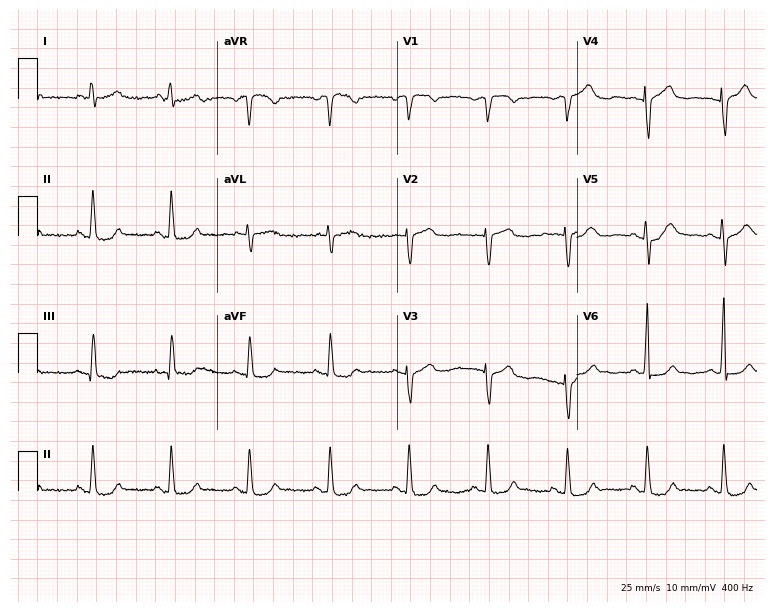
12-lead ECG (7.3-second recording at 400 Hz) from a woman, 59 years old. Screened for six findings — first-degree AV block, right bundle branch block (RBBB), left bundle branch block (LBBB), sinus bradycardia, atrial fibrillation (AF), sinus tachycardia — none is recorded.